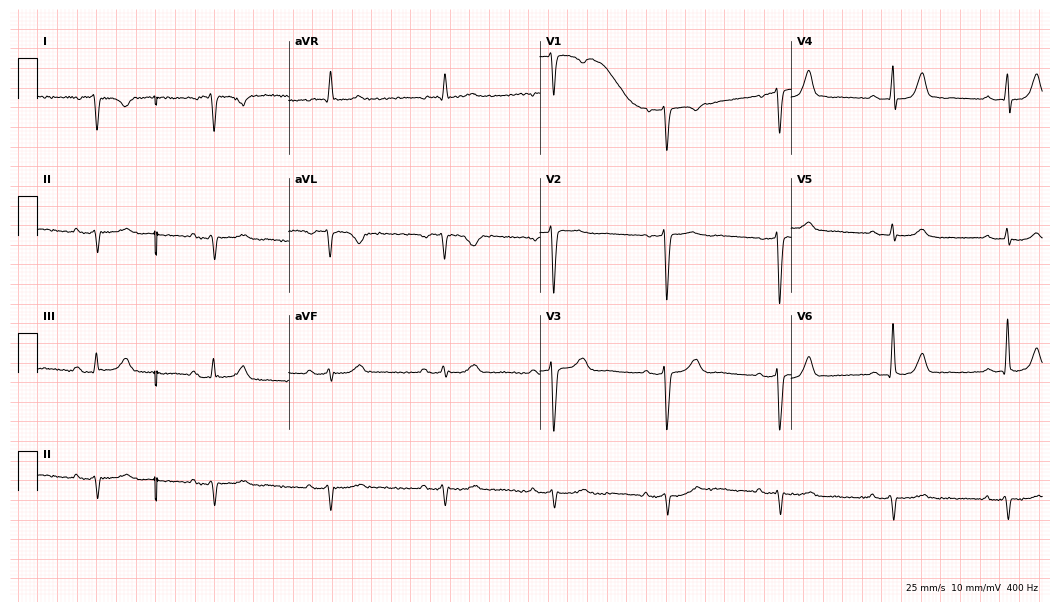
Electrocardiogram, an 83-year-old female patient. Of the six screened findings (first-degree AV block, right bundle branch block (RBBB), left bundle branch block (LBBB), sinus bradycardia, atrial fibrillation (AF), sinus tachycardia), none is recorded. Only these six findings were labelled.